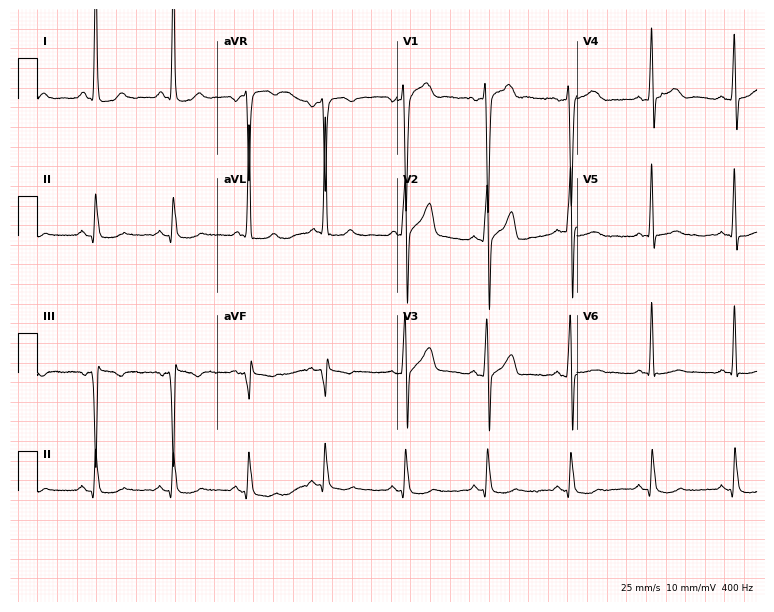
Standard 12-lead ECG recorded from a 38-year-old man. None of these six findings is recorded: first-degree AV block, right bundle branch block (RBBB), left bundle branch block (LBBB), sinus bradycardia, atrial fibrillation (AF), sinus tachycardia.